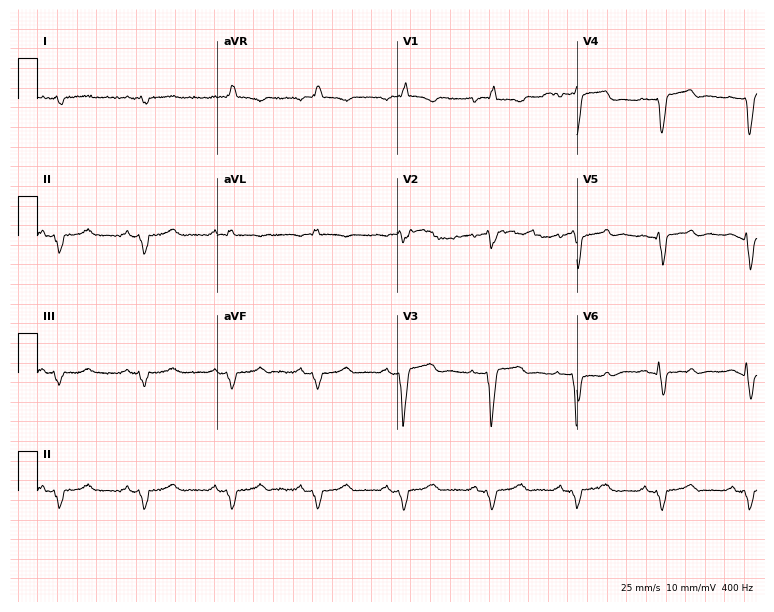
Electrocardiogram, a male patient, 61 years old. Of the six screened findings (first-degree AV block, right bundle branch block, left bundle branch block, sinus bradycardia, atrial fibrillation, sinus tachycardia), none is recorded. Other findings, if any, are not listed.